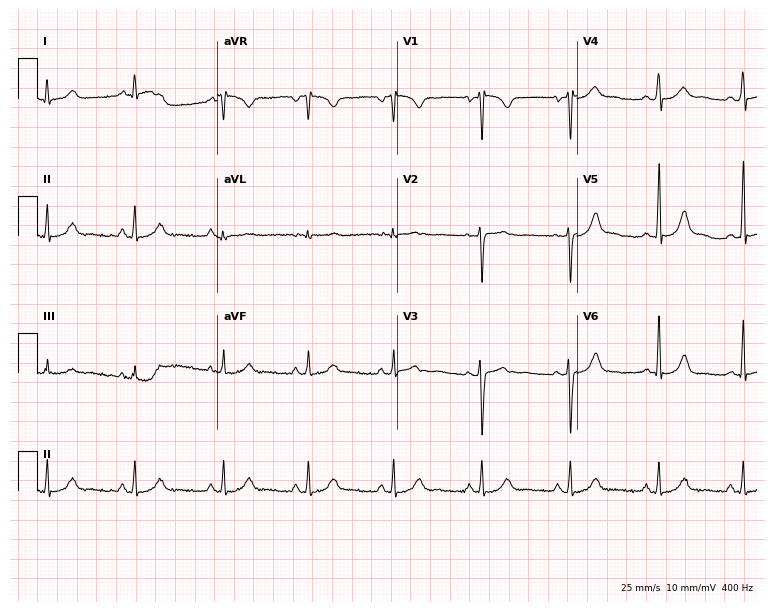
Standard 12-lead ECG recorded from a female patient, 19 years old. Read as a normal ECG.